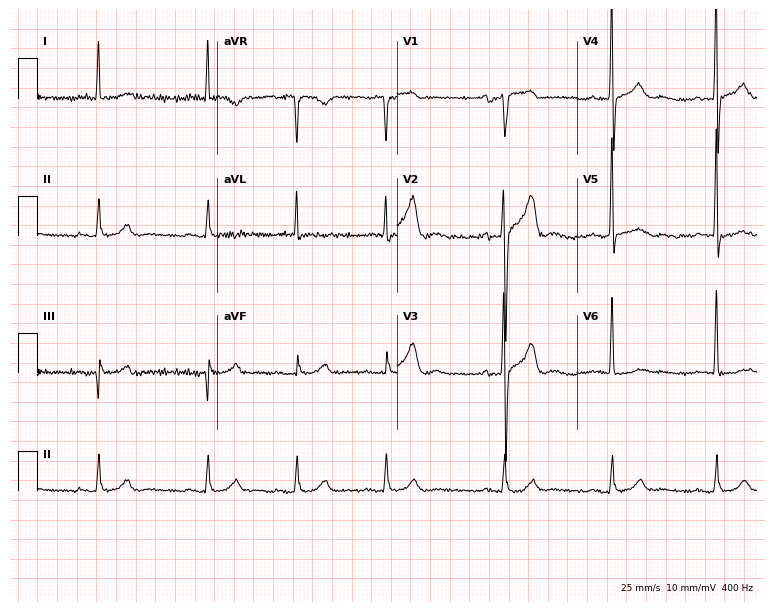
12-lead ECG from a male patient, 71 years old. Screened for six findings — first-degree AV block, right bundle branch block, left bundle branch block, sinus bradycardia, atrial fibrillation, sinus tachycardia — none is recorded. Only these six findings were labelled.